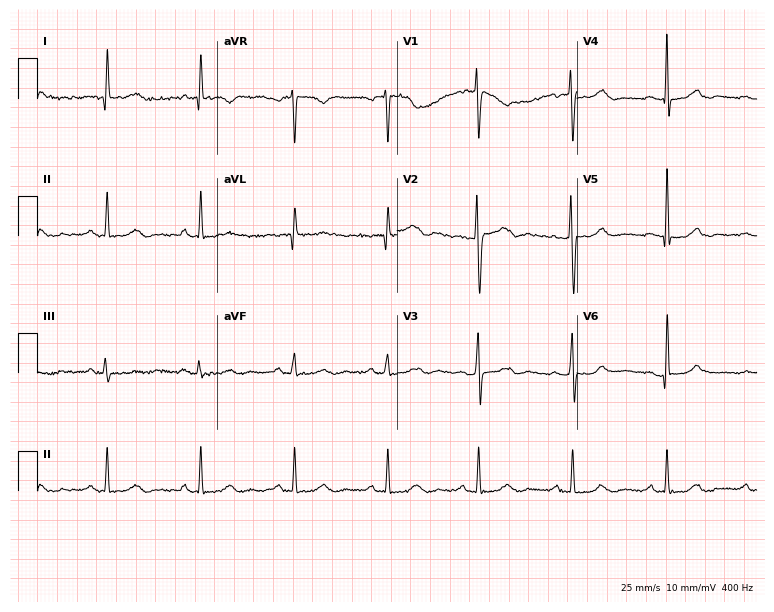
12-lead ECG (7.3-second recording at 400 Hz) from a woman, 60 years old. Labelled as a normal ECG.